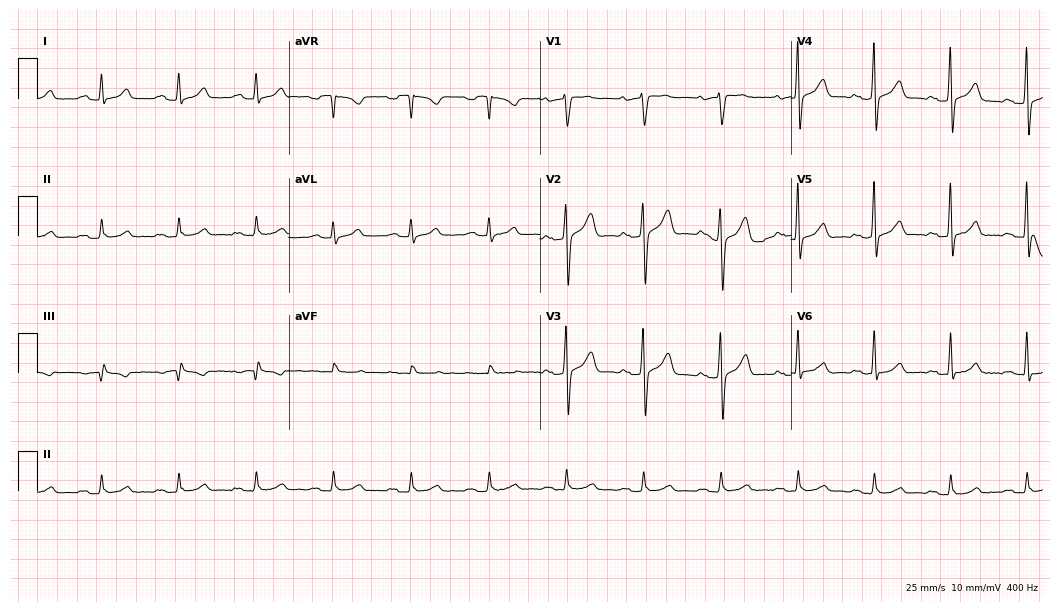
12-lead ECG from a male, 44 years old. Labelled as a normal ECG.